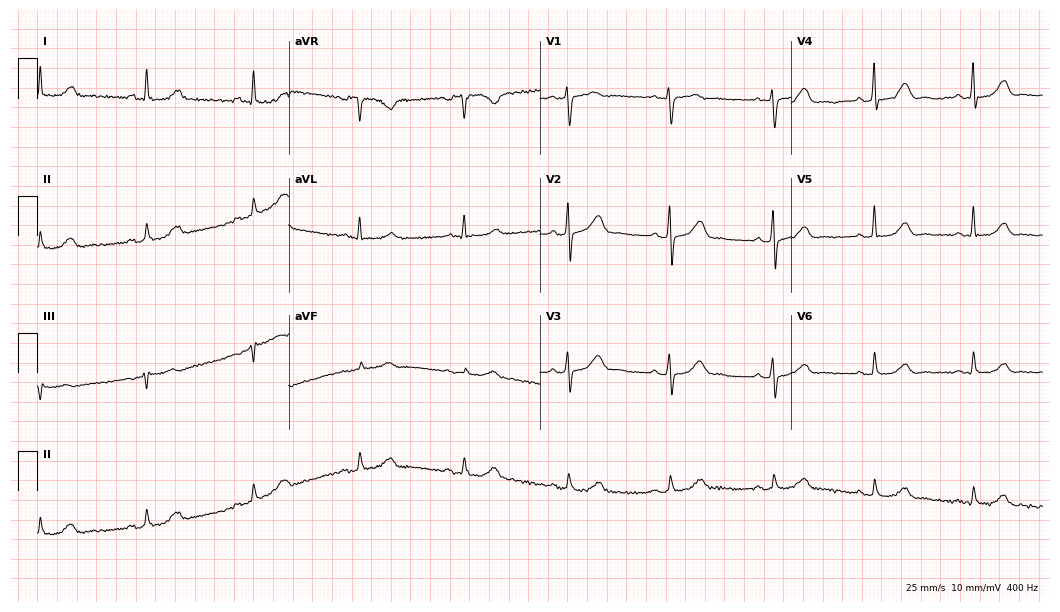
Standard 12-lead ECG recorded from a female patient, 67 years old (10.2-second recording at 400 Hz). None of these six findings is recorded: first-degree AV block, right bundle branch block, left bundle branch block, sinus bradycardia, atrial fibrillation, sinus tachycardia.